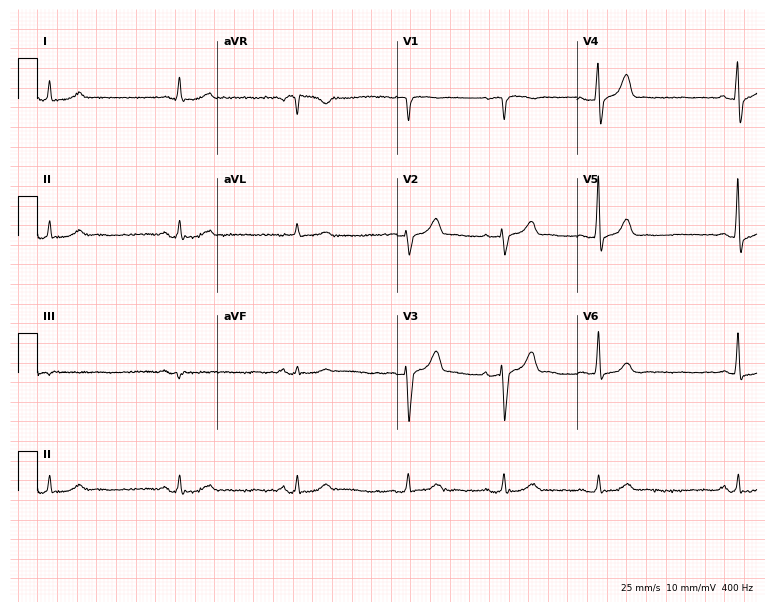
Standard 12-lead ECG recorded from an 85-year-old male (7.3-second recording at 400 Hz). Read as a normal ECG.